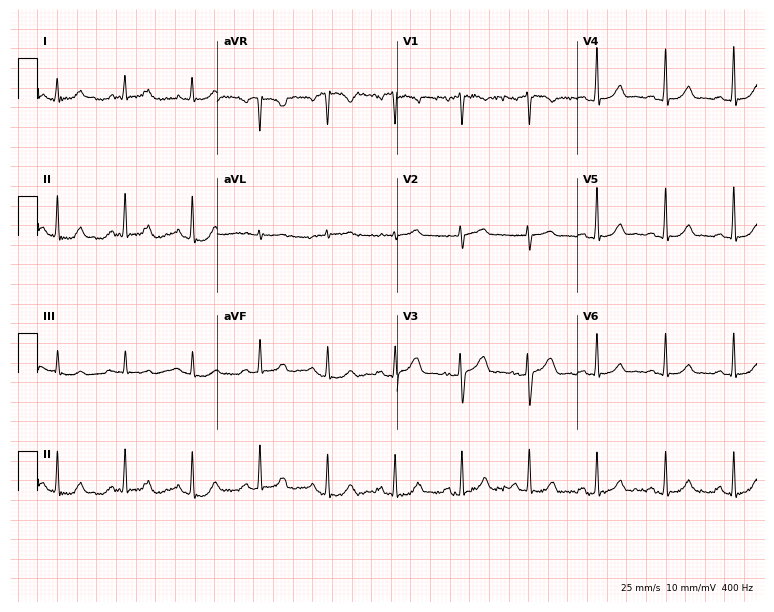
Electrocardiogram (7.3-second recording at 400 Hz), a 52-year-old female. Overall reading on record: normal ECG.